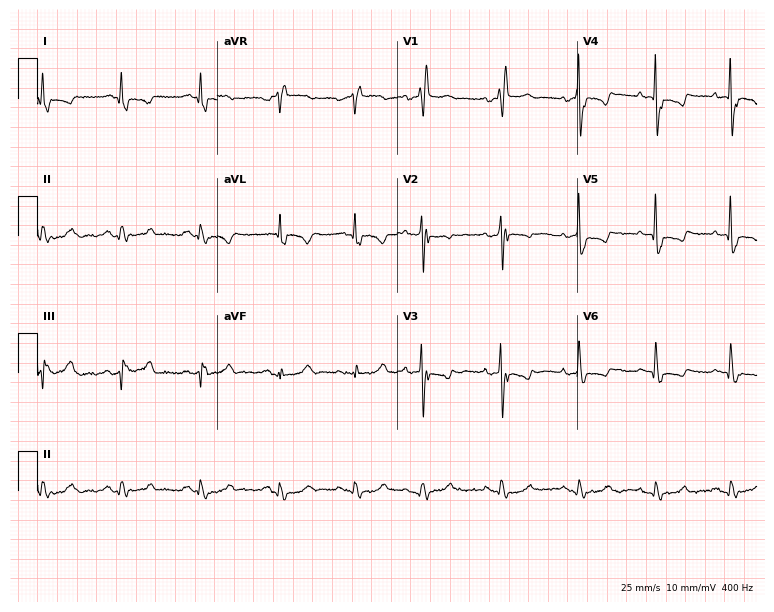
ECG (7.3-second recording at 400 Hz) — a male patient, 76 years old. Findings include right bundle branch block (RBBB).